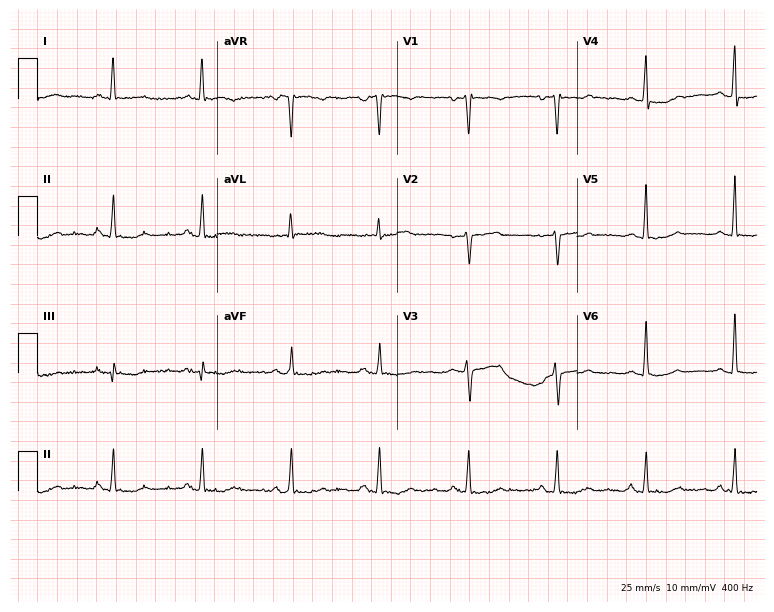
Electrocardiogram (7.3-second recording at 400 Hz), a 73-year-old female. Of the six screened findings (first-degree AV block, right bundle branch block (RBBB), left bundle branch block (LBBB), sinus bradycardia, atrial fibrillation (AF), sinus tachycardia), none is recorded. Only these six findings were labelled.